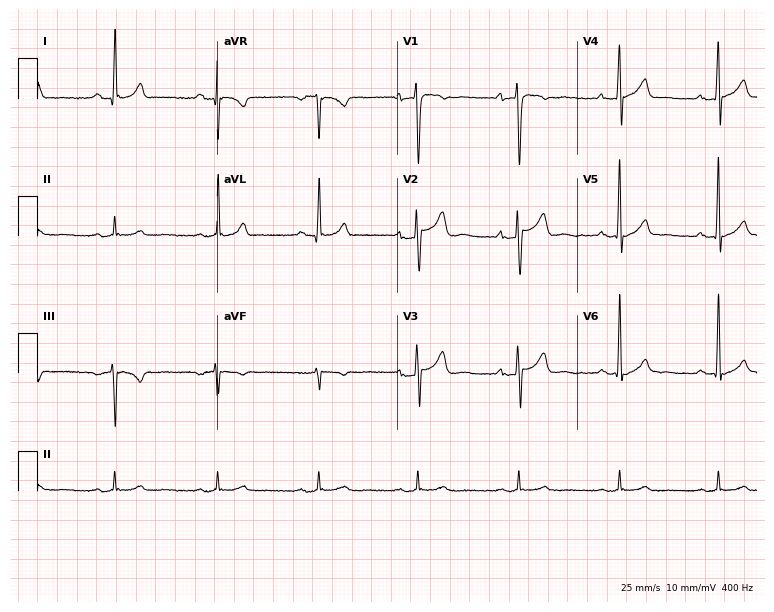
ECG (7.3-second recording at 400 Hz) — a man, 49 years old. Screened for six findings — first-degree AV block, right bundle branch block, left bundle branch block, sinus bradycardia, atrial fibrillation, sinus tachycardia — none is recorded.